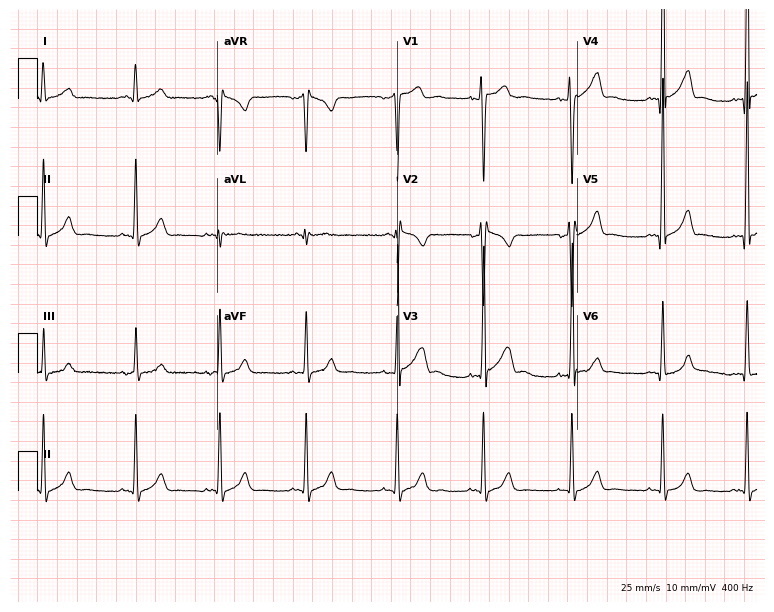
12-lead ECG (7.3-second recording at 400 Hz) from a man, 24 years old. Labelled as a normal ECG.